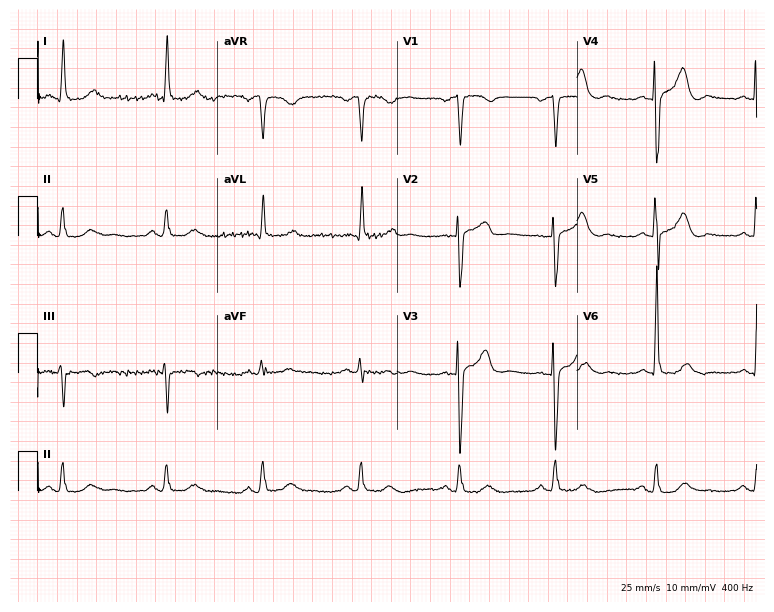
ECG — an 84-year-old female. Labelled as a normal ECG.